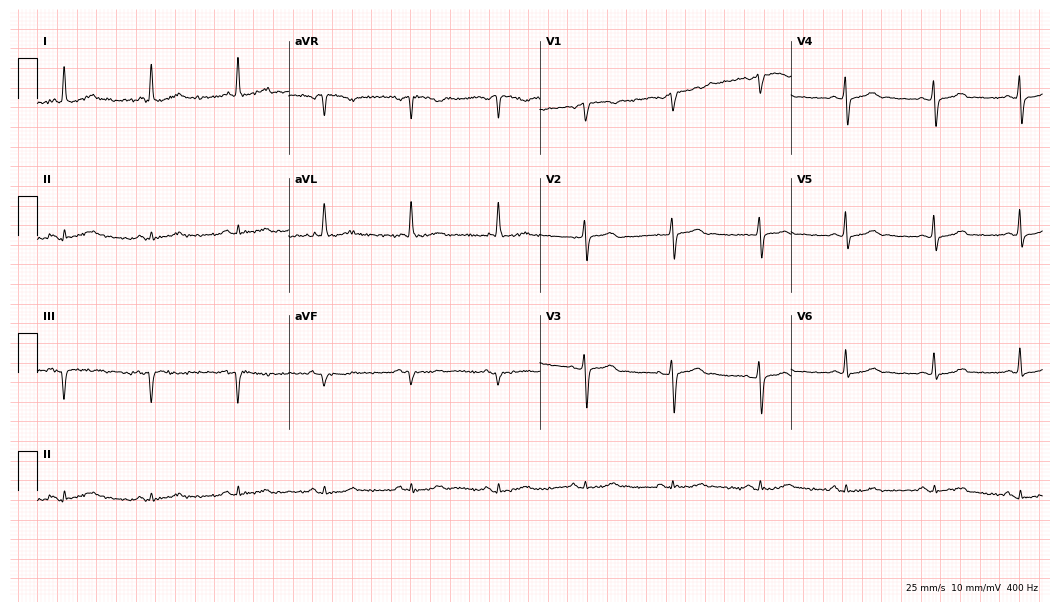
Resting 12-lead electrocardiogram (10.2-second recording at 400 Hz). Patient: a female, 75 years old. None of these six findings is recorded: first-degree AV block, right bundle branch block, left bundle branch block, sinus bradycardia, atrial fibrillation, sinus tachycardia. Other findings, if any, are not listed.